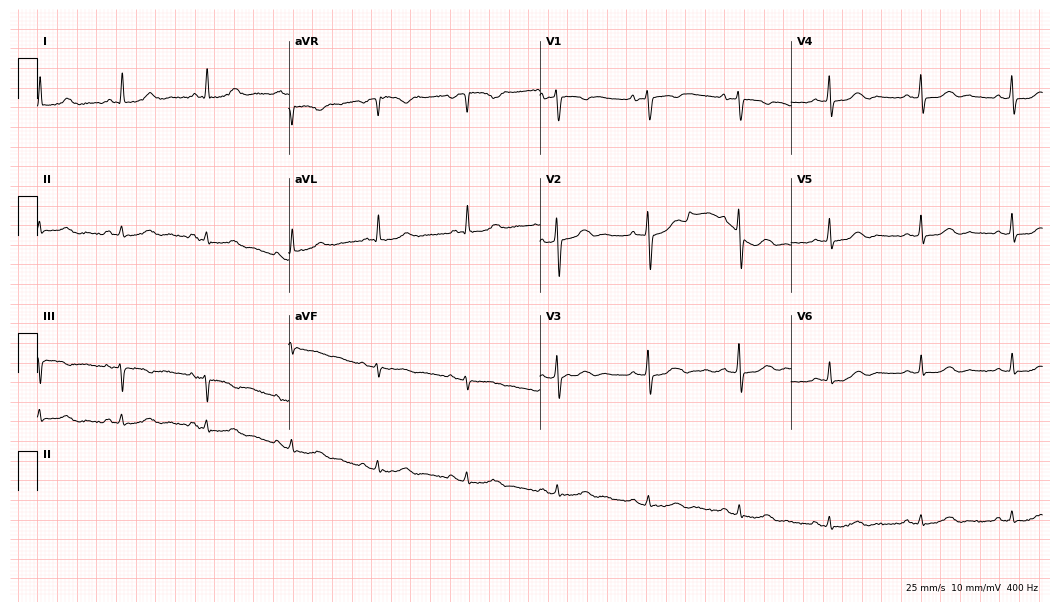
Resting 12-lead electrocardiogram. Patient: a woman, 77 years old. Read as a normal ECG.